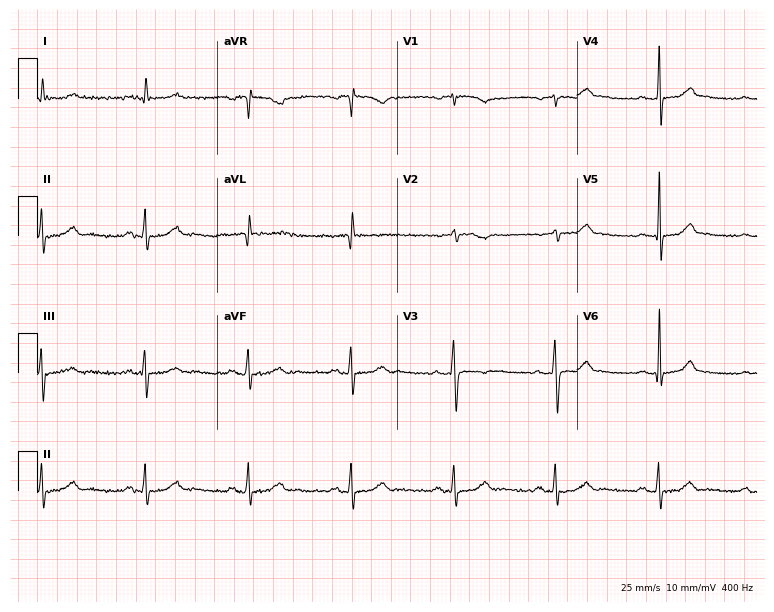
Standard 12-lead ECG recorded from a male, 71 years old (7.3-second recording at 400 Hz). None of these six findings is recorded: first-degree AV block, right bundle branch block, left bundle branch block, sinus bradycardia, atrial fibrillation, sinus tachycardia.